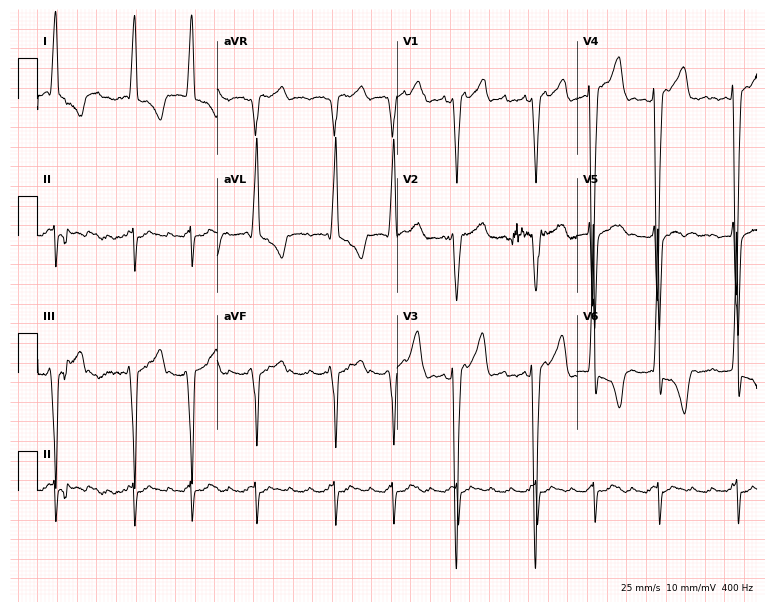
Resting 12-lead electrocardiogram. Patient: a 60-year-old male. The tracing shows left bundle branch block.